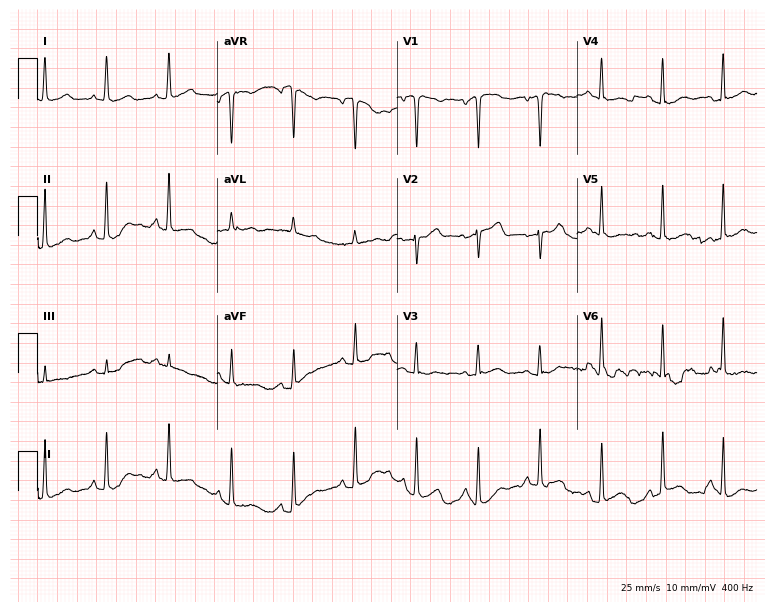
Electrocardiogram, a 49-year-old woman. Of the six screened findings (first-degree AV block, right bundle branch block, left bundle branch block, sinus bradycardia, atrial fibrillation, sinus tachycardia), none is recorded.